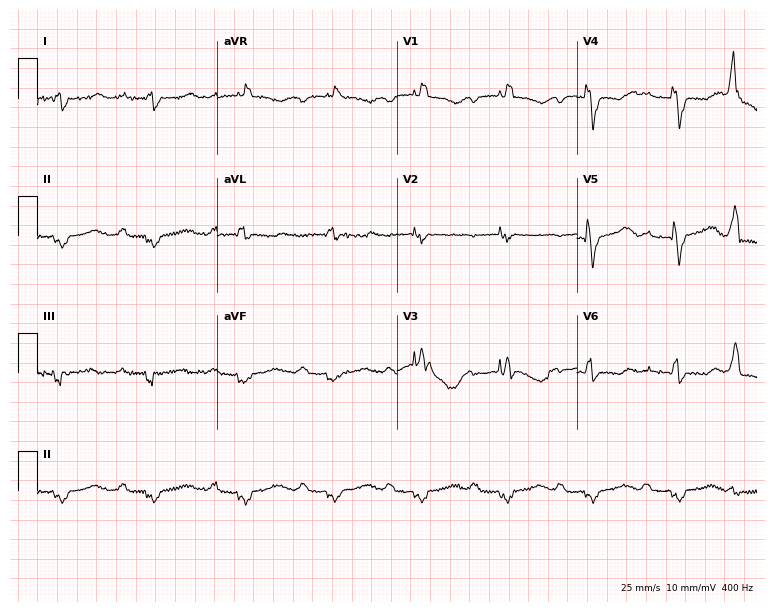
Standard 12-lead ECG recorded from a man, 77 years old. None of these six findings is recorded: first-degree AV block, right bundle branch block (RBBB), left bundle branch block (LBBB), sinus bradycardia, atrial fibrillation (AF), sinus tachycardia.